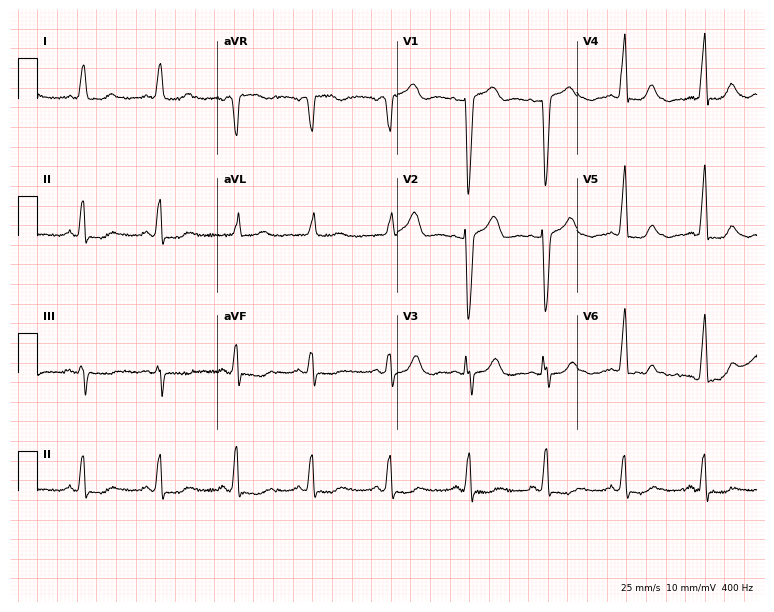
Resting 12-lead electrocardiogram. Patient: an 86-year-old woman. The tracing shows left bundle branch block.